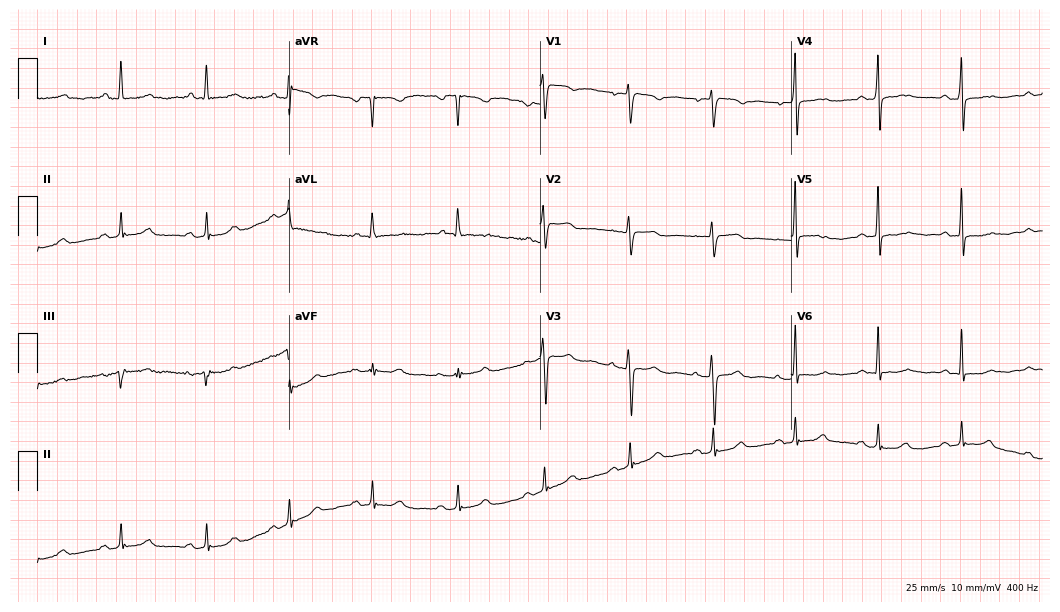
Electrocardiogram (10.2-second recording at 400 Hz), a 44-year-old female. Overall reading on record: normal ECG.